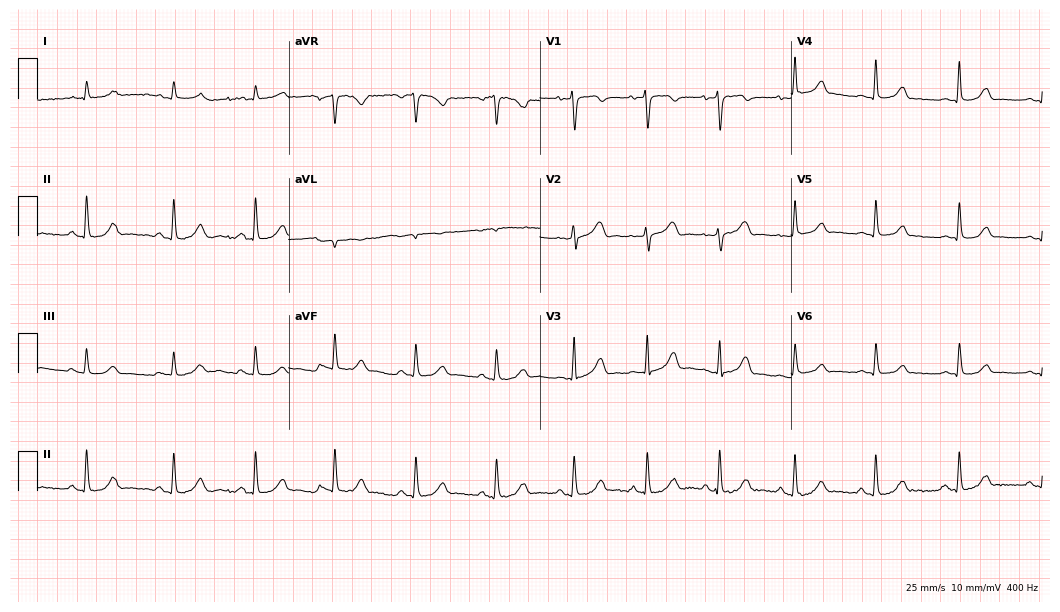
Resting 12-lead electrocardiogram. Patient: a female, 64 years old. None of these six findings is recorded: first-degree AV block, right bundle branch block, left bundle branch block, sinus bradycardia, atrial fibrillation, sinus tachycardia. Findings outside these six are not listed.